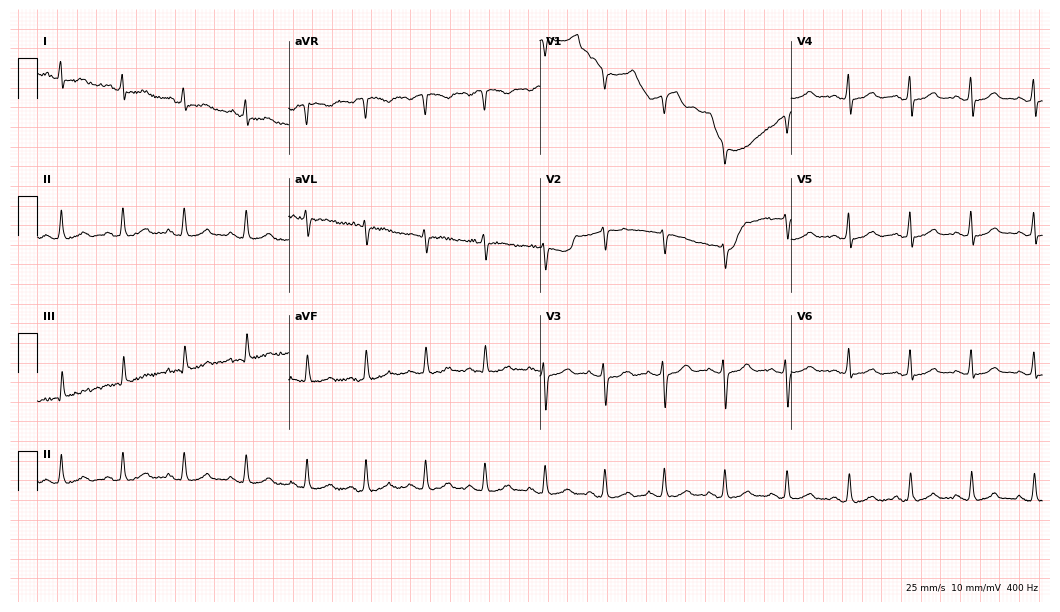
Electrocardiogram (10.2-second recording at 400 Hz), a 36-year-old female patient. Overall reading on record: normal ECG.